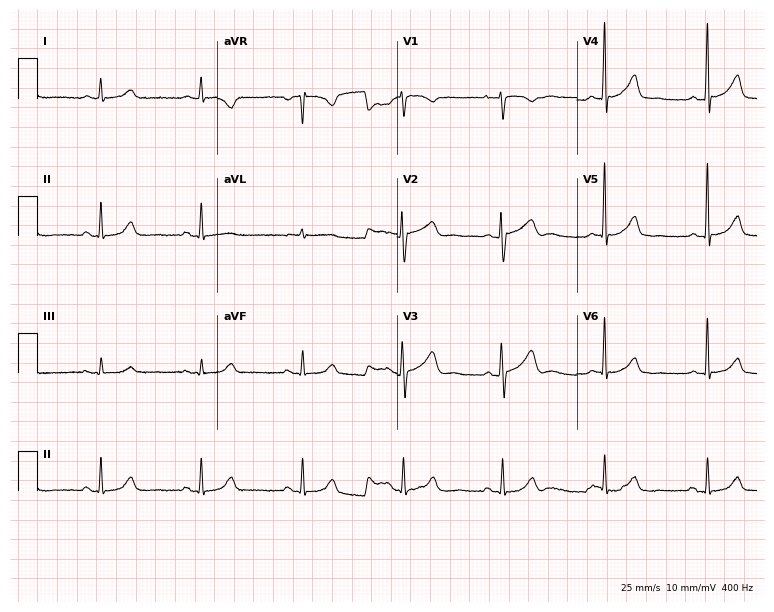
ECG — a 58-year-old female. Labelled as a normal ECG.